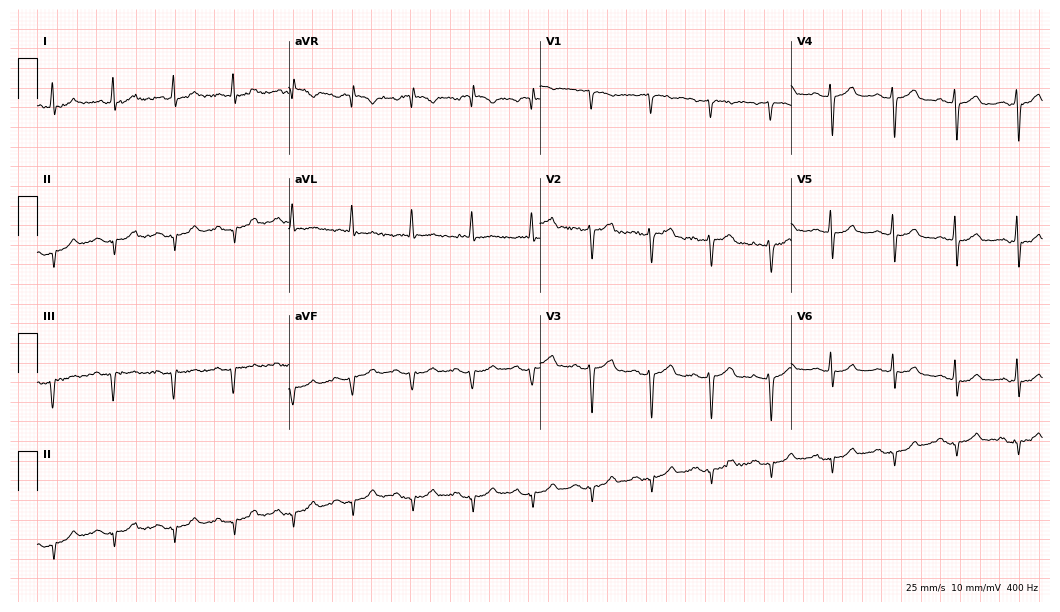
Electrocardiogram, a male patient, 70 years old. Of the six screened findings (first-degree AV block, right bundle branch block (RBBB), left bundle branch block (LBBB), sinus bradycardia, atrial fibrillation (AF), sinus tachycardia), none is recorded. Findings outside these six are not listed.